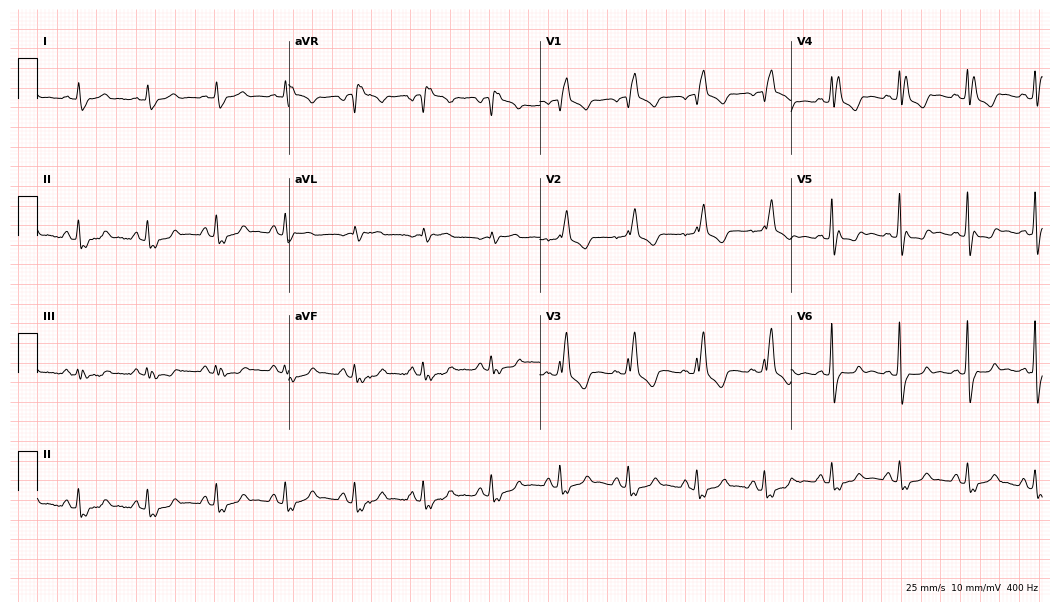
Resting 12-lead electrocardiogram. Patient: a 70-year-old male. The tracing shows right bundle branch block.